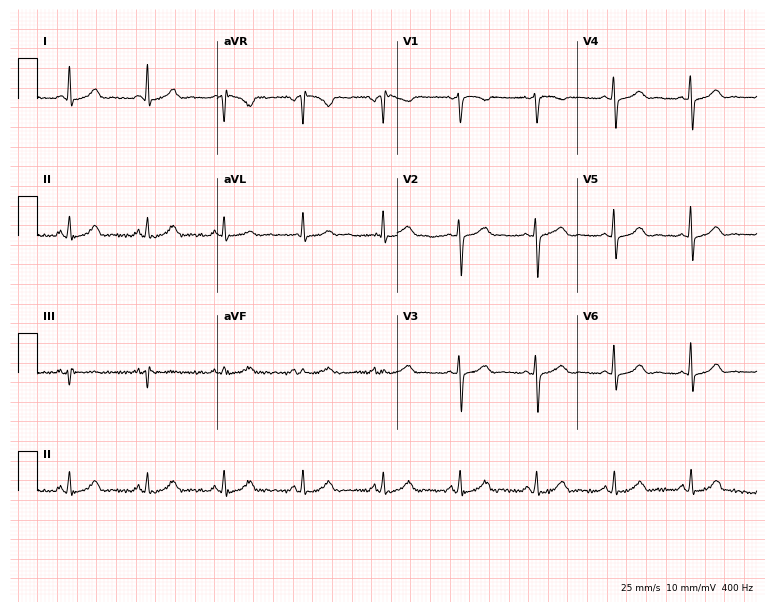
Electrocardiogram (7.3-second recording at 400 Hz), a female, 45 years old. Overall reading on record: normal ECG.